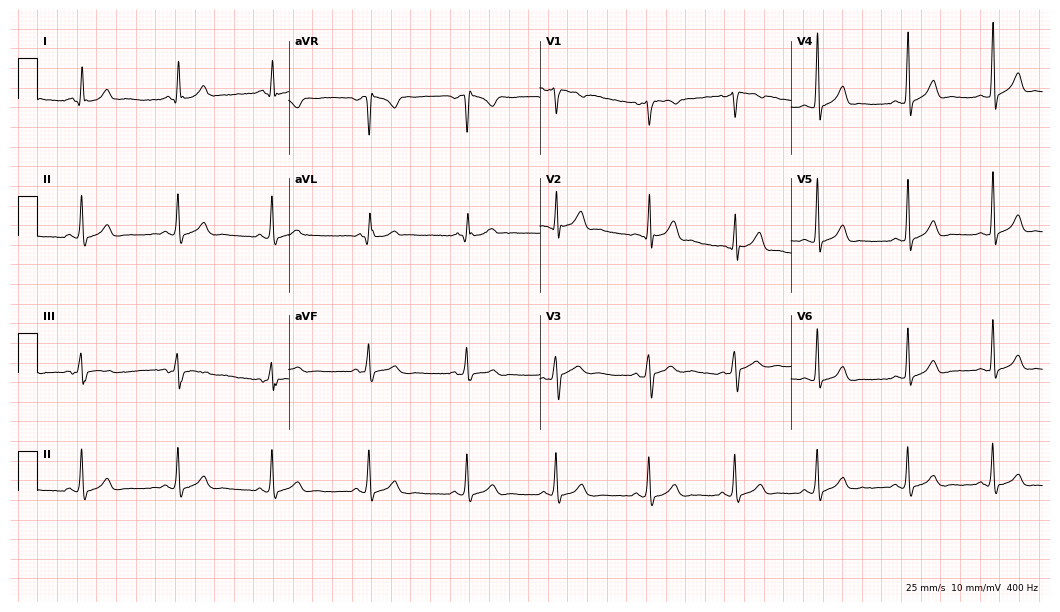
ECG (10.2-second recording at 400 Hz) — a 27-year-old male. Labelled as a normal ECG.